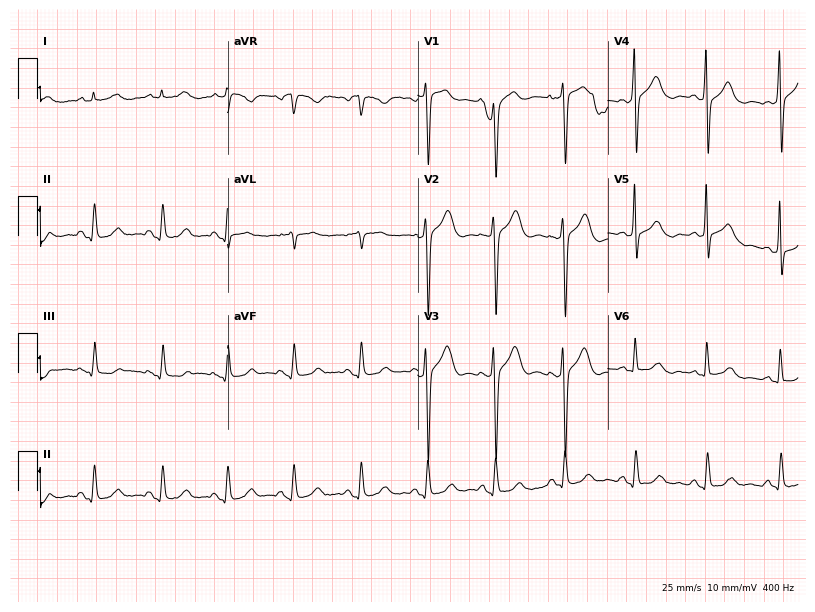
12-lead ECG from a 72-year-old male patient. Screened for six findings — first-degree AV block, right bundle branch block, left bundle branch block, sinus bradycardia, atrial fibrillation, sinus tachycardia — none is recorded.